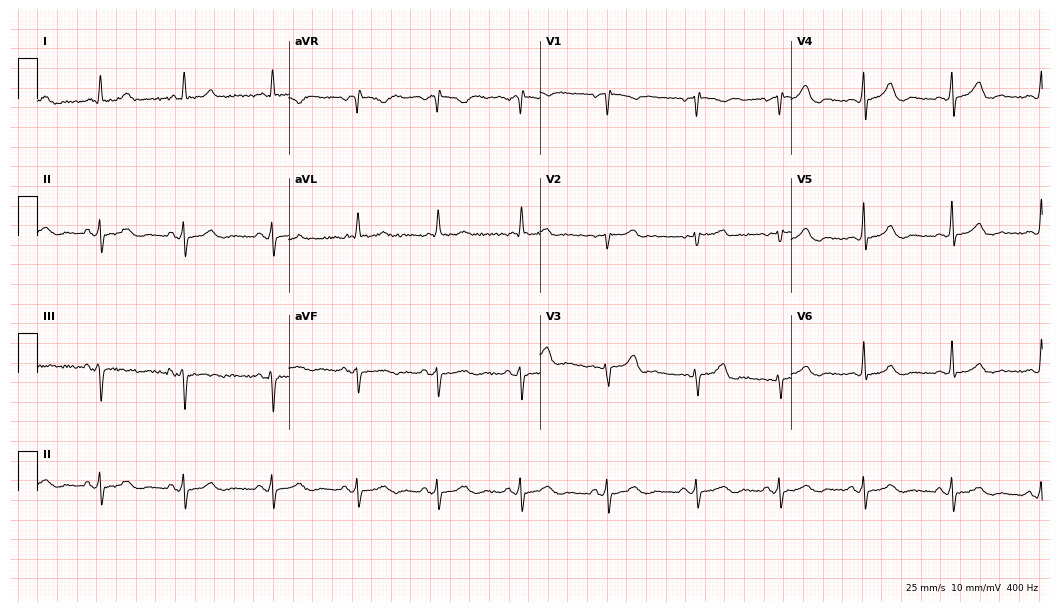
Electrocardiogram, a female, 67 years old. Of the six screened findings (first-degree AV block, right bundle branch block, left bundle branch block, sinus bradycardia, atrial fibrillation, sinus tachycardia), none is recorded. Only these six findings were labelled.